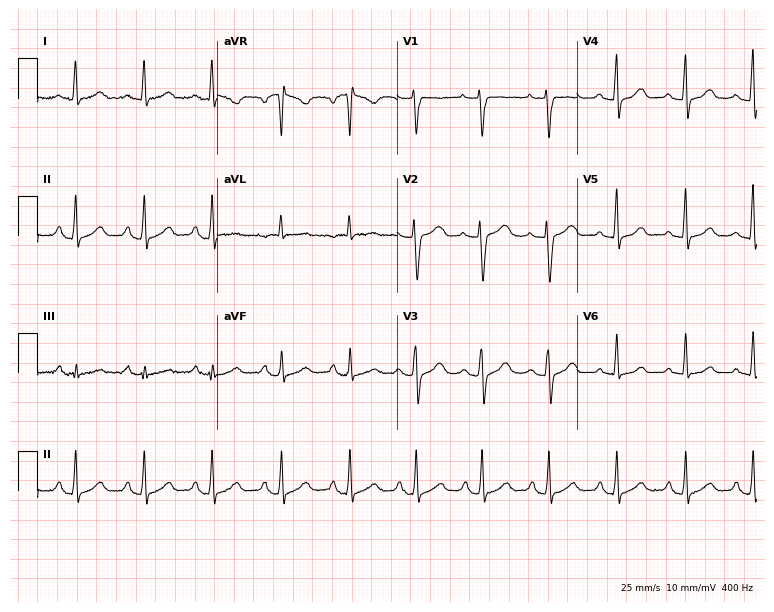
Electrocardiogram (7.3-second recording at 400 Hz), a woman, 56 years old. Of the six screened findings (first-degree AV block, right bundle branch block, left bundle branch block, sinus bradycardia, atrial fibrillation, sinus tachycardia), none is recorded.